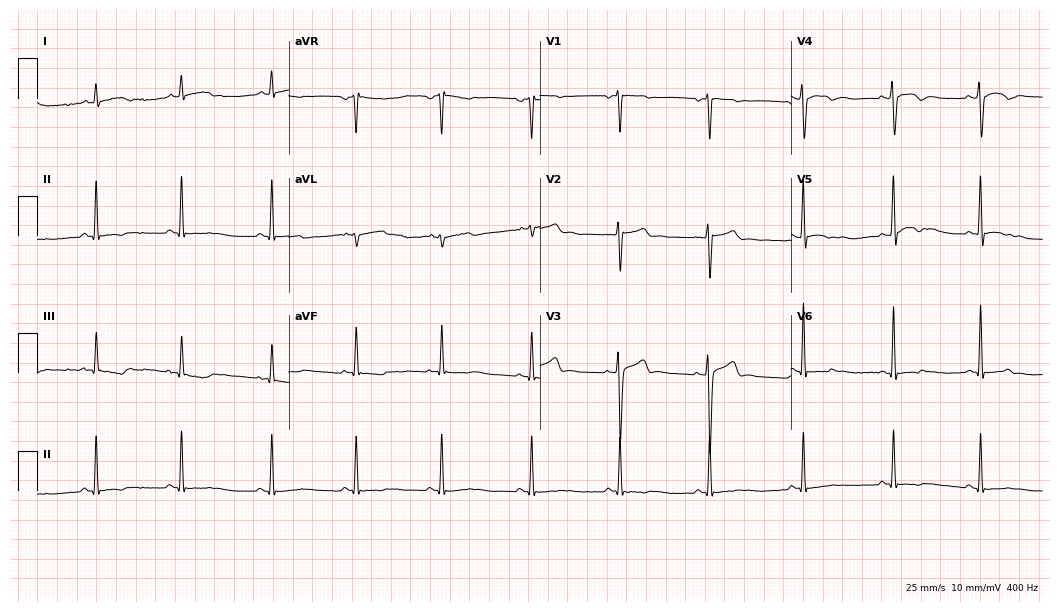
ECG — a male patient, 21 years old. Screened for six findings — first-degree AV block, right bundle branch block, left bundle branch block, sinus bradycardia, atrial fibrillation, sinus tachycardia — none is recorded.